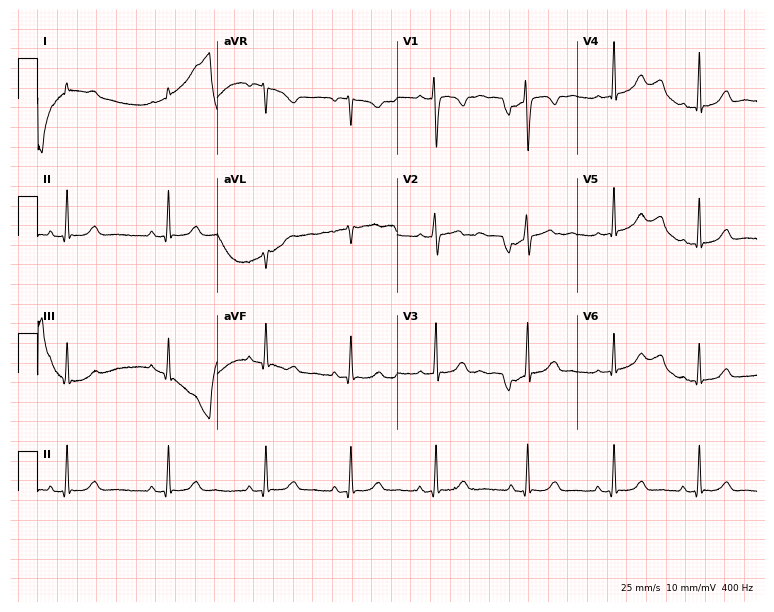
ECG — a 24-year-old woman. Labelled as a normal ECG.